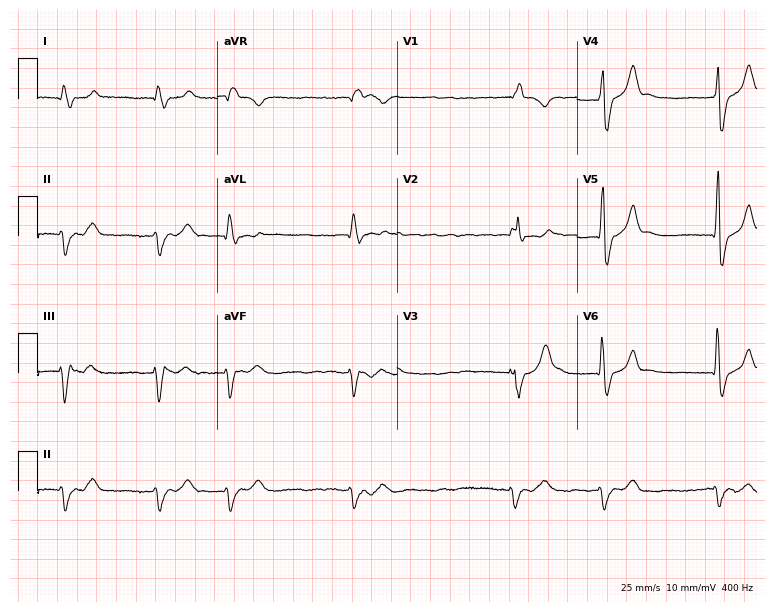
Resting 12-lead electrocardiogram. Patient: a 70-year-old man. The tracing shows right bundle branch block, atrial fibrillation.